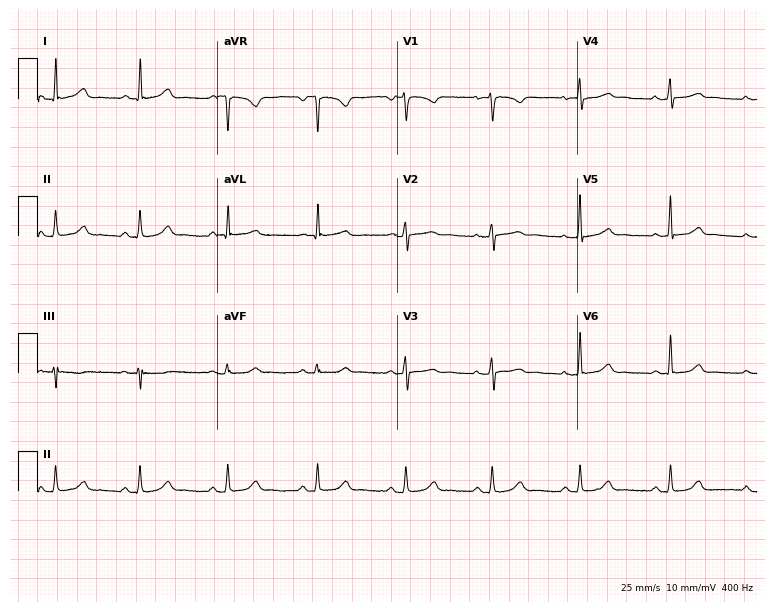
12-lead ECG from a 45-year-old woman. Labelled as a normal ECG.